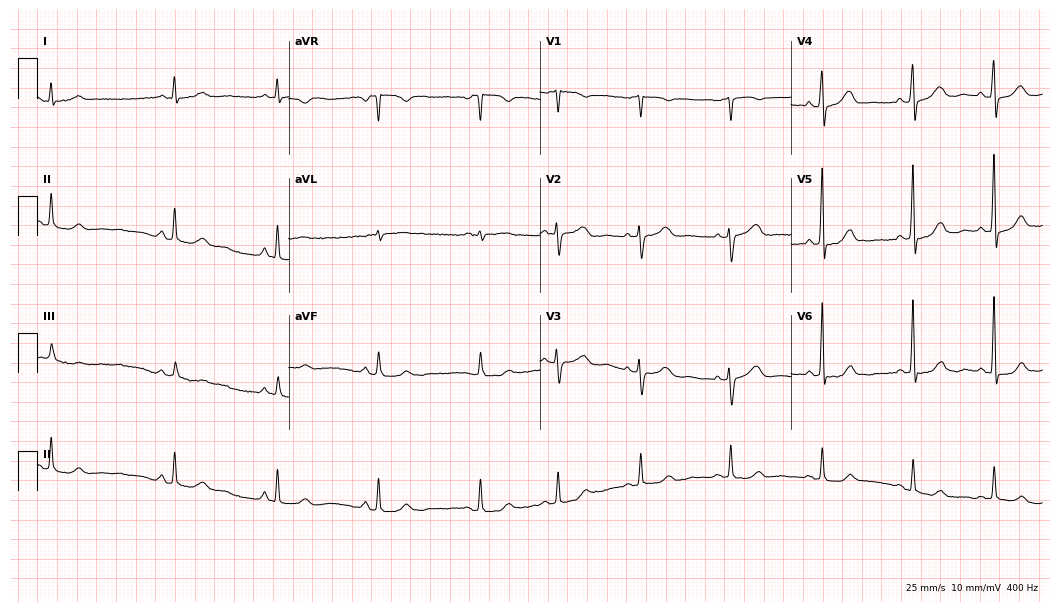
Resting 12-lead electrocardiogram (10.2-second recording at 400 Hz). Patient: a female, 64 years old. None of these six findings is recorded: first-degree AV block, right bundle branch block, left bundle branch block, sinus bradycardia, atrial fibrillation, sinus tachycardia.